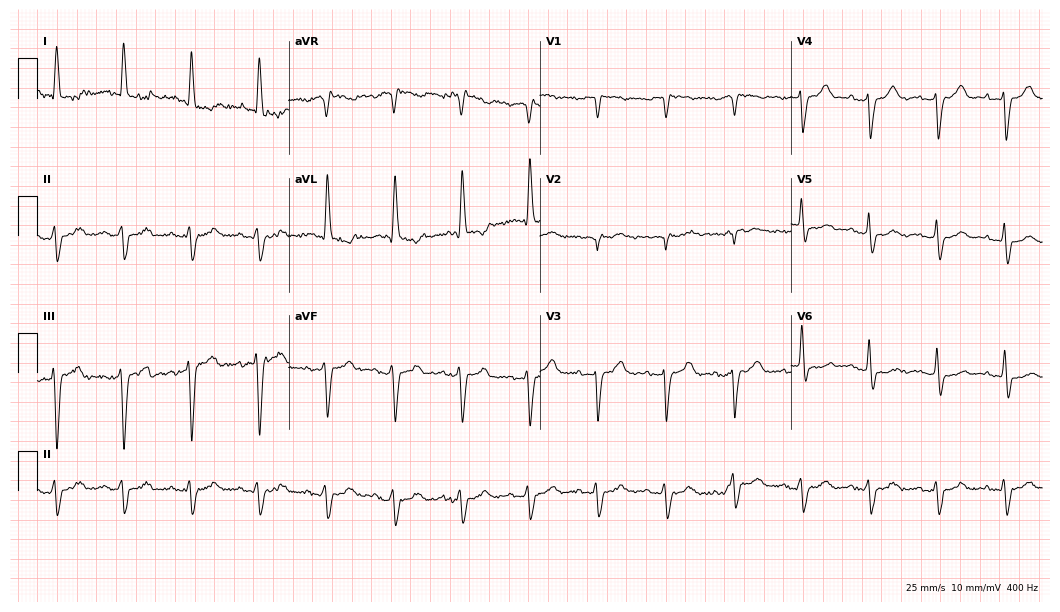
12-lead ECG (10.2-second recording at 400 Hz) from a male, 84 years old. Screened for six findings — first-degree AV block, right bundle branch block, left bundle branch block, sinus bradycardia, atrial fibrillation, sinus tachycardia — none is recorded. Findings outside these six are not listed.